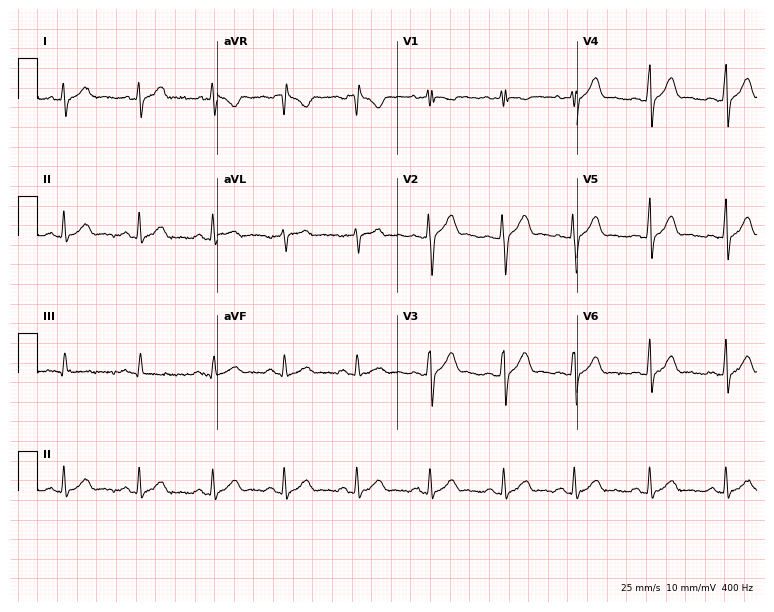
12-lead ECG (7.3-second recording at 400 Hz) from a 36-year-old man. Screened for six findings — first-degree AV block, right bundle branch block, left bundle branch block, sinus bradycardia, atrial fibrillation, sinus tachycardia — none is recorded.